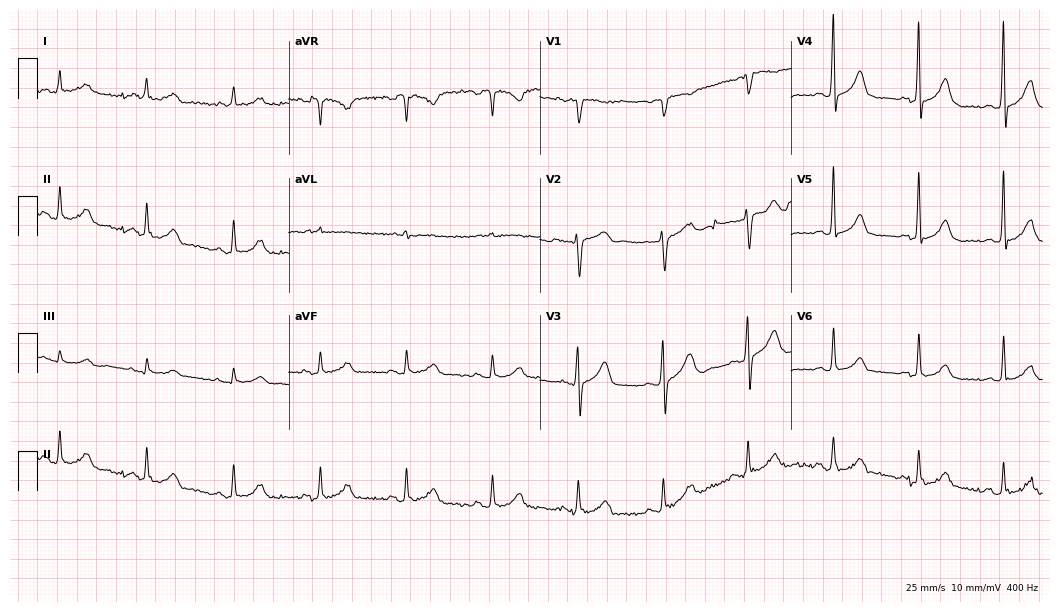
Electrocardiogram, an 80-year-old woman. Overall reading on record: normal ECG.